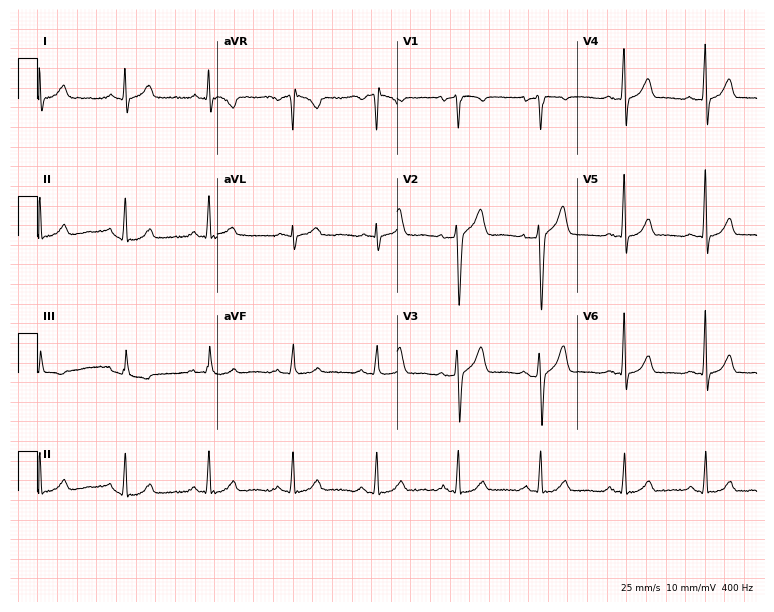
12-lead ECG (7.3-second recording at 400 Hz) from a 45-year-old man. Labelled as a normal ECG.